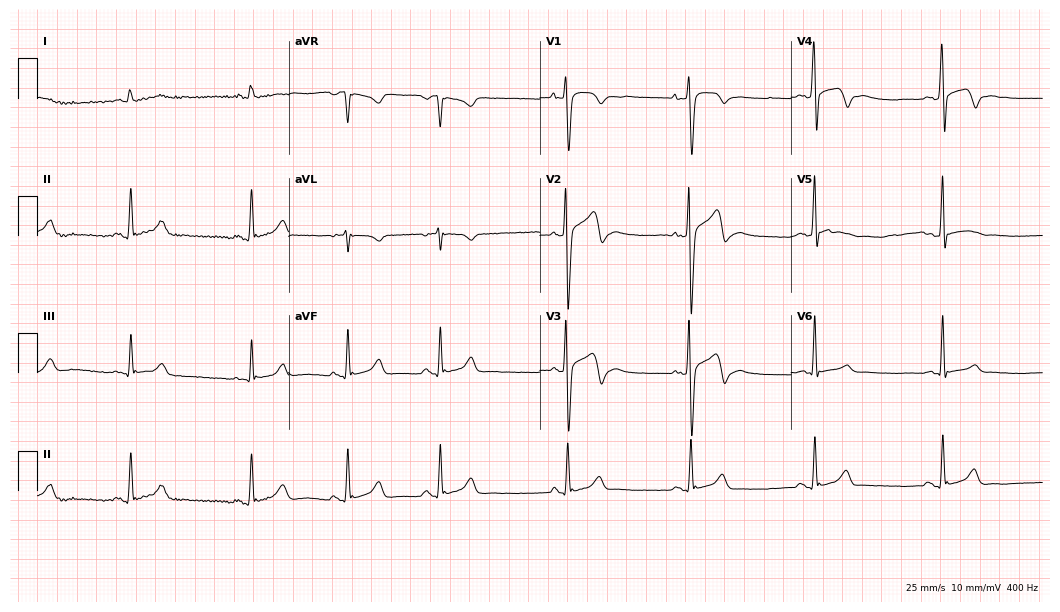
12-lead ECG from a 24-year-old male patient (10.2-second recording at 400 Hz). No first-degree AV block, right bundle branch block, left bundle branch block, sinus bradycardia, atrial fibrillation or sinus tachycardia recorded for this tracing.